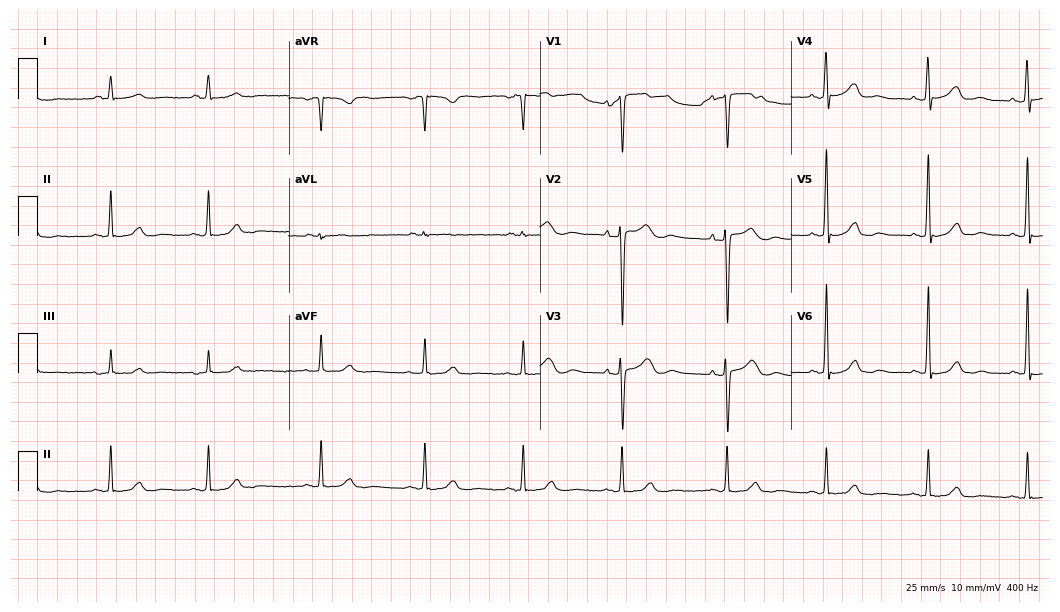
ECG (10.2-second recording at 400 Hz) — a 58-year-old woman. Labelled as a normal ECG.